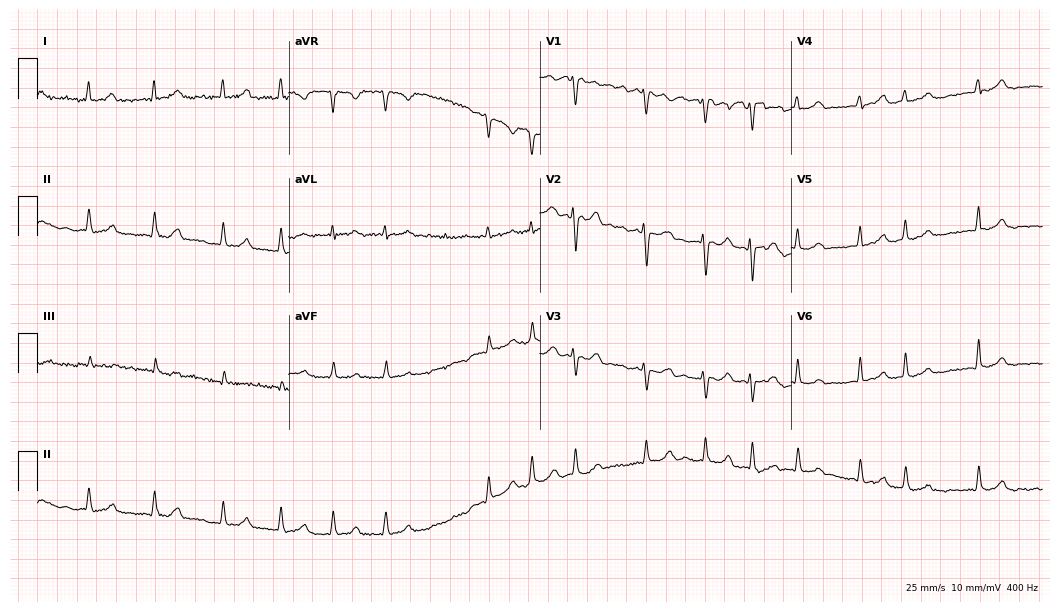
Electrocardiogram (10.2-second recording at 400 Hz), a female patient, 84 years old. Interpretation includes atrial fibrillation.